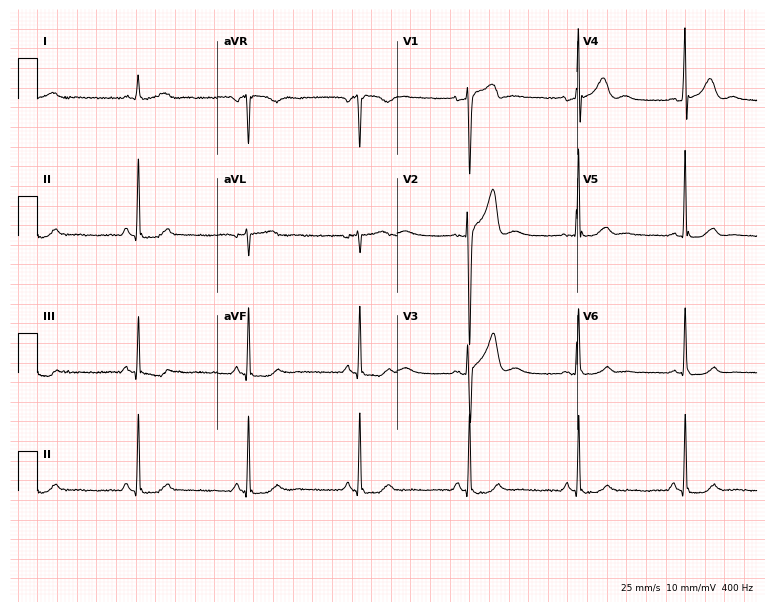
ECG — a male, 40 years old. Screened for six findings — first-degree AV block, right bundle branch block (RBBB), left bundle branch block (LBBB), sinus bradycardia, atrial fibrillation (AF), sinus tachycardia — none is recorded. Only these six findings were labelled.